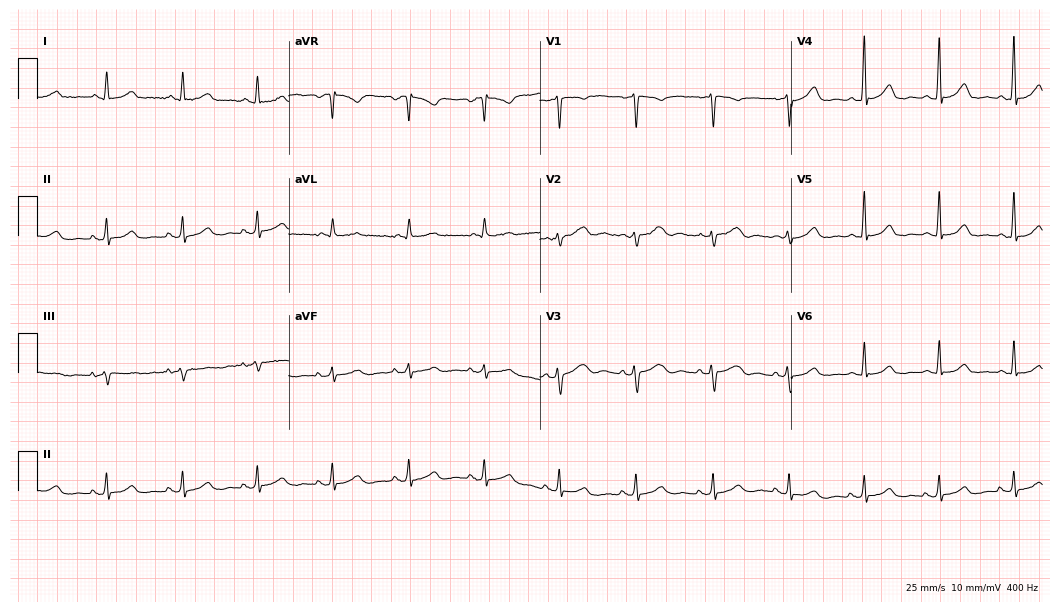
Standard 12-lead ECG recorded from a woman, 46 years old (10.2-second recording at 400 Hz). Read as a normal ECG.